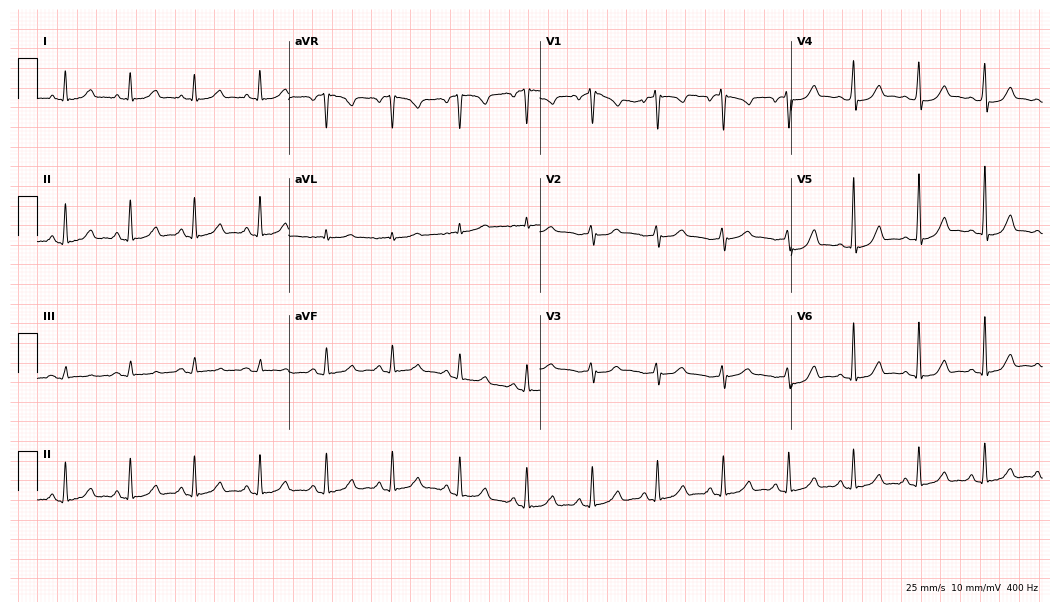
12-lead ECG from a 39-year-old female. Recorded interpretation: within normal limits.